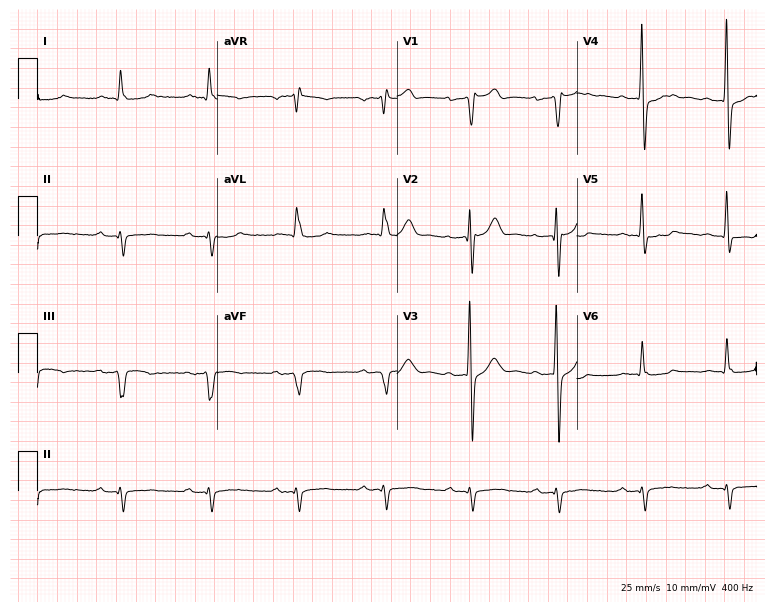
Resting 12-lead electrocardiogram (7.3-second recording at 400 Hz). Patient: a male, 74 years old. None of these six findings is recorded: first-degree AV block, right bundle branch block, left bundle branch block, sinus bradycardia, atrial fibrillation, sinus tachycardia.